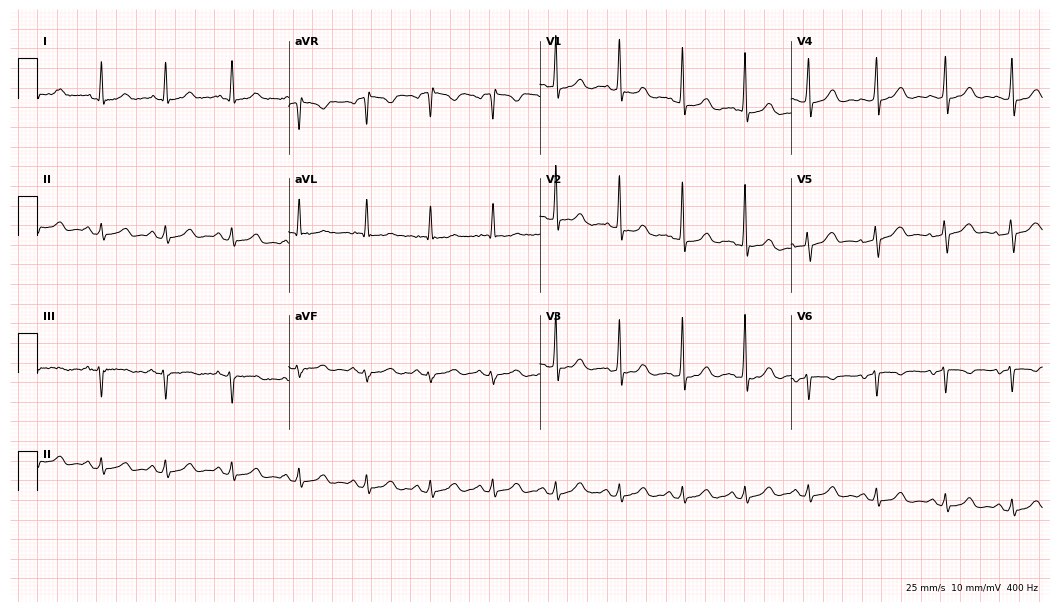
Standard 12-lead ECG recorded from a 51-year-old woman (10.2-second recording at 400 Hz). None of these six findings is recorded: first-degree AV block, right bundle branch block, left bundle branch block, sinus bradycardia, atrial fibrillation, sinus tachycardia. Only these six findings were labelled.